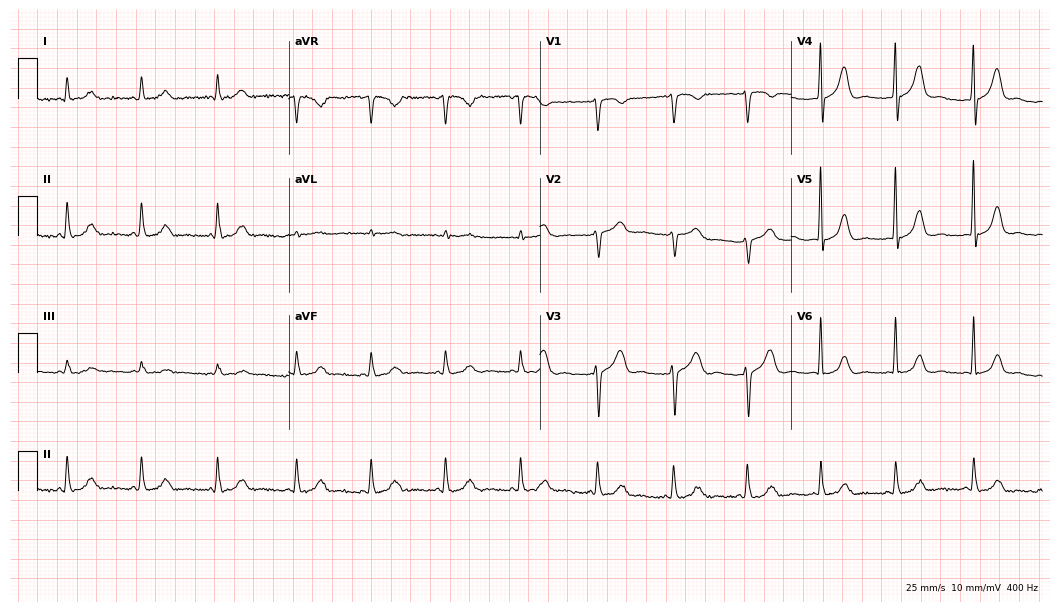
Electrocardiogram (10.2-second recording at 400 Hz), a woman, 65 years old. Overall reading on record: normal ECG.